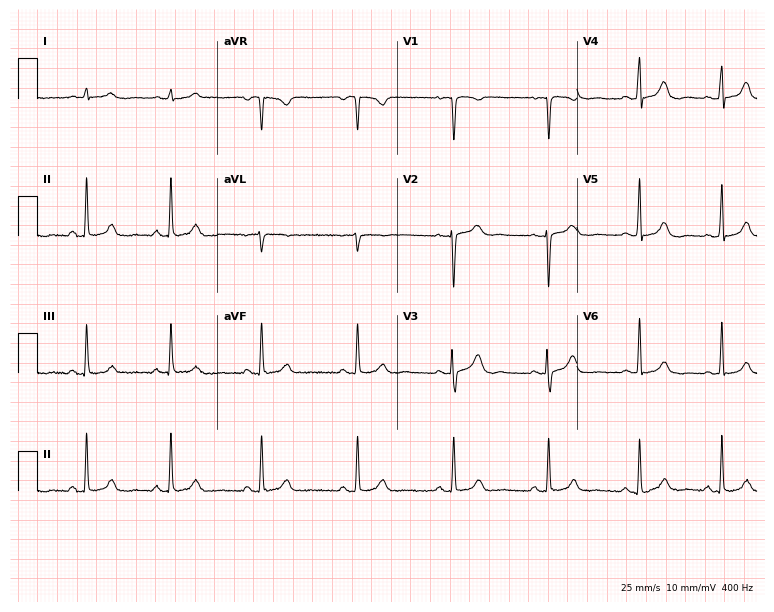
Standard 12-lead ECG recorded from a woman, 30 years old (7.3-second recording at 400 Hz). None of these six findings is recorded: first-degree AV block, right bundle branch block, left bundle branch block, sinus bradycardia, atrial fibrillation, sinus tachycardia. Findings outside these six are not listed.